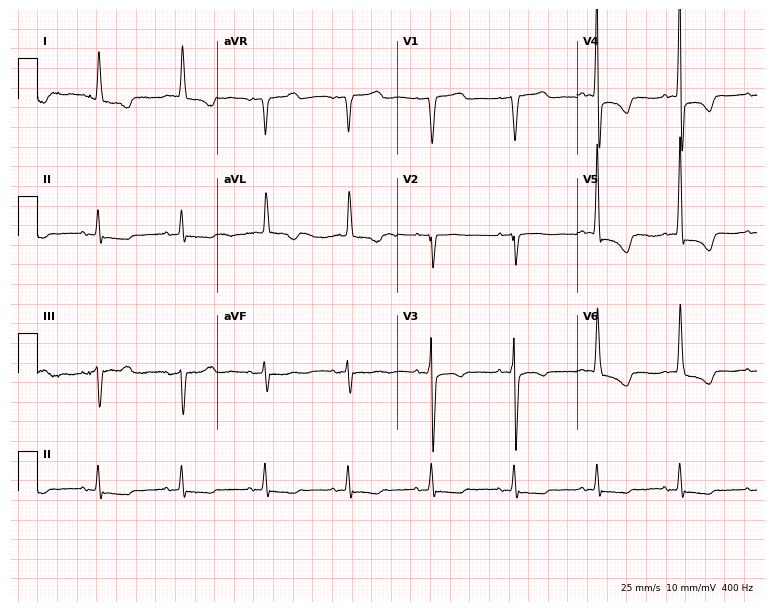
Standard 12-lead ECG recorded from a 69-year-old female. None of these six findings is recorded: first-degree AV block, right bundle branch block (RBBB), left bundle branch block (LBBB), sinus bradycardia, atrial fibrillation (AF), sinus tachycardia.